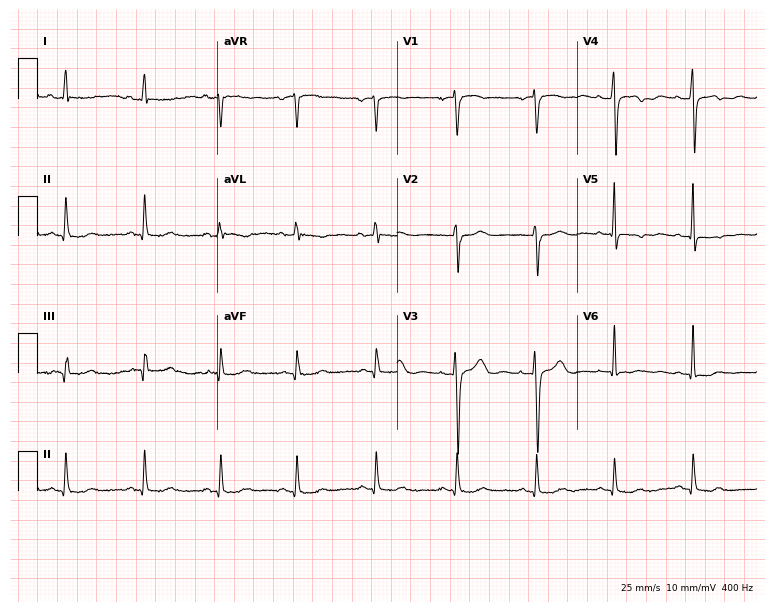
Resting 12-lead electrocardiogram. Patient: a woman, 75 years old. None of these six findings is recorded: first-degree AV block, right bundle branch block, left bundle branch block, sinus bradycardia, atrial fibrillation, sinus tachycardia.